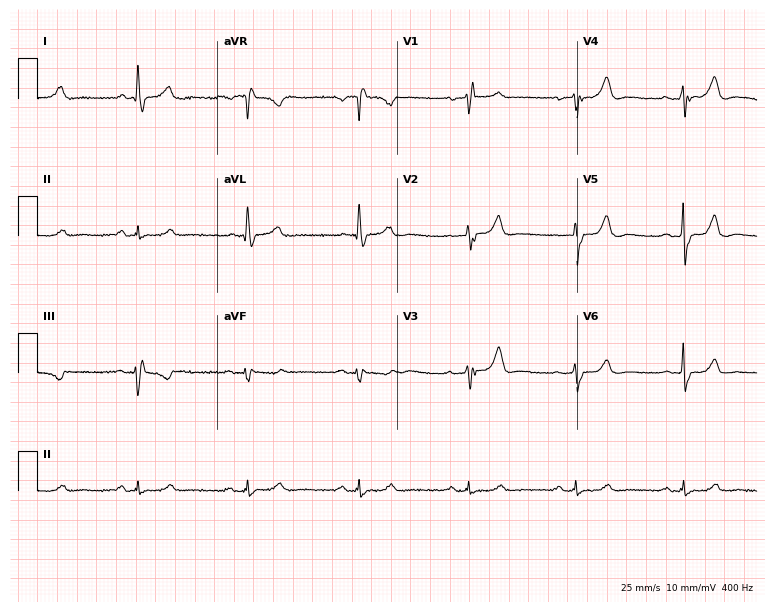
Resting 12-lead electrocardiogram (7.3-second recording at 400 Hz). Patient: a 76-year-old female. None of these six findings is recorded: first-degree AV block, right bundle branch block, left bundle branch block, sinus bradycardia, atrial fibrillation, sinus tachycardia.